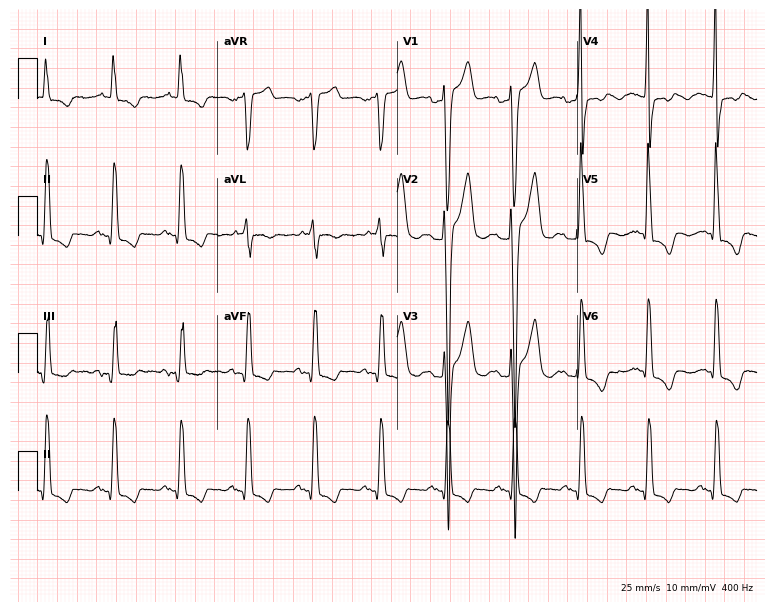
Electrocardiogram, a 77-year-old man. Of the six screened findings (first-degree AV block, right bundle branch block, left bundle branch block, sinus bradycardia, atrial fibrillation, sinus tachycardia), none is recorded.